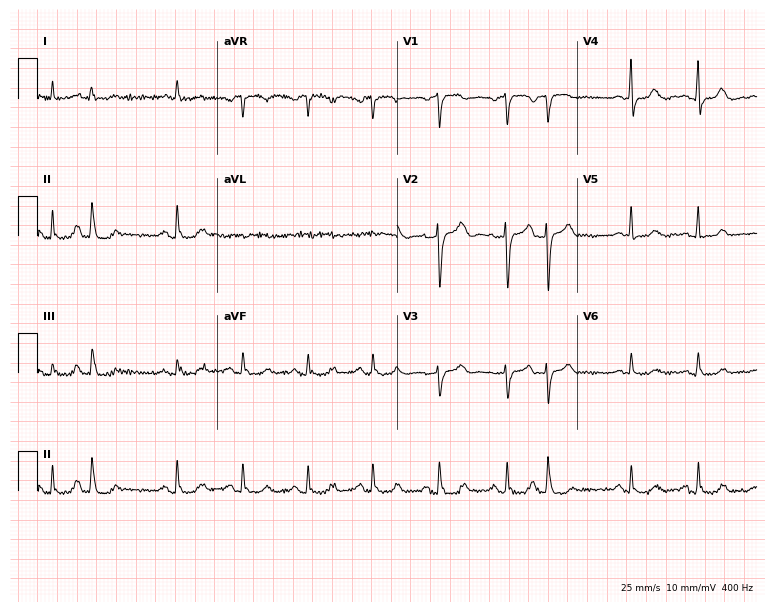
12-lead ECG from a female, 78 years old. No first-degree AV block, right bundle branch block, left bundle branch block, sinus bradycardia, atrial fibrillation or sinus tachycardia recorded for this tracing.